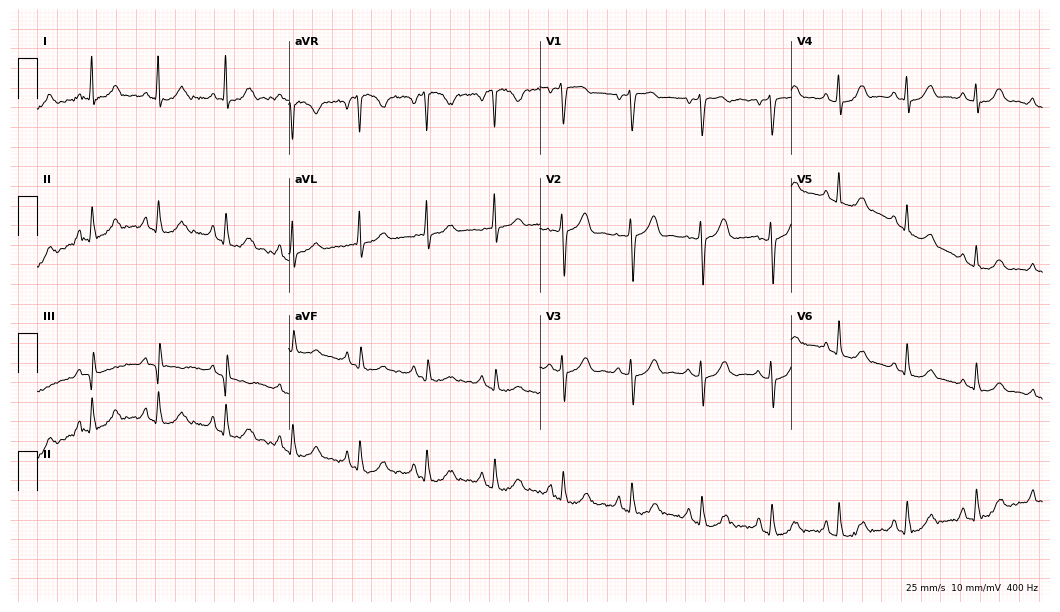
Resting 12-lead electrocardiogram (10.2-second recording at 400 Hz). Patient: a woman, 51 years old. None of these six findings is recorded: first-degree AV block, right bundle branch block, left bundle branch block, sinus bradycardia, atrial fibrillation, sinus tachycardia. Findings outside these six are not listed.